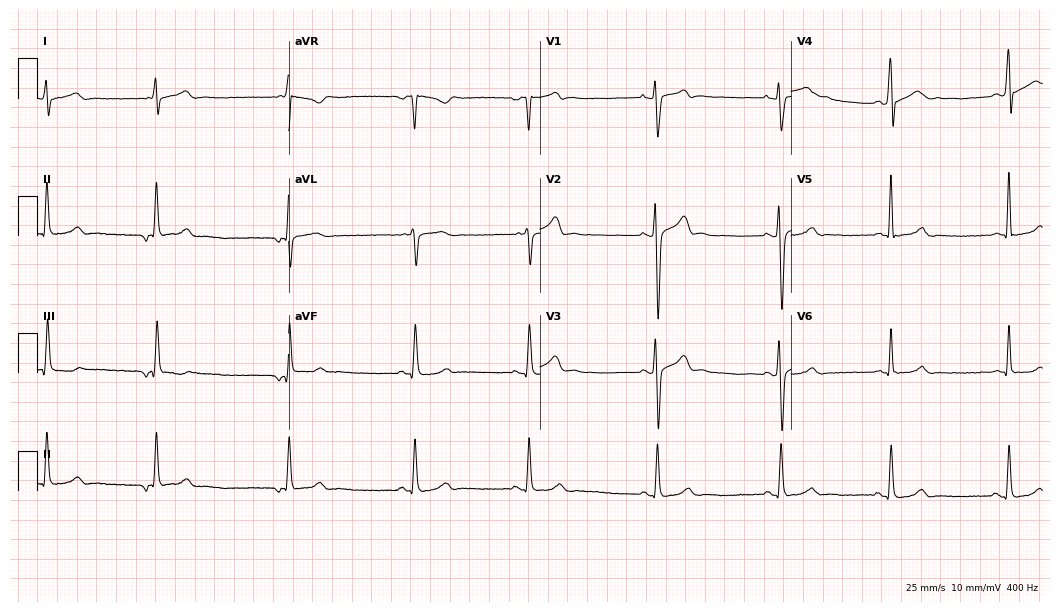
12-lead ECG (10.2-second recording at 400 Hz) from a 34-year-old man. Screened for six findings — first-degree AV block, right bundle branch block, left bundle branch block, sinus bradycardia, atrial fibrillation, sinus tachycardia — none is recorded. Findings outside these six are not listed.